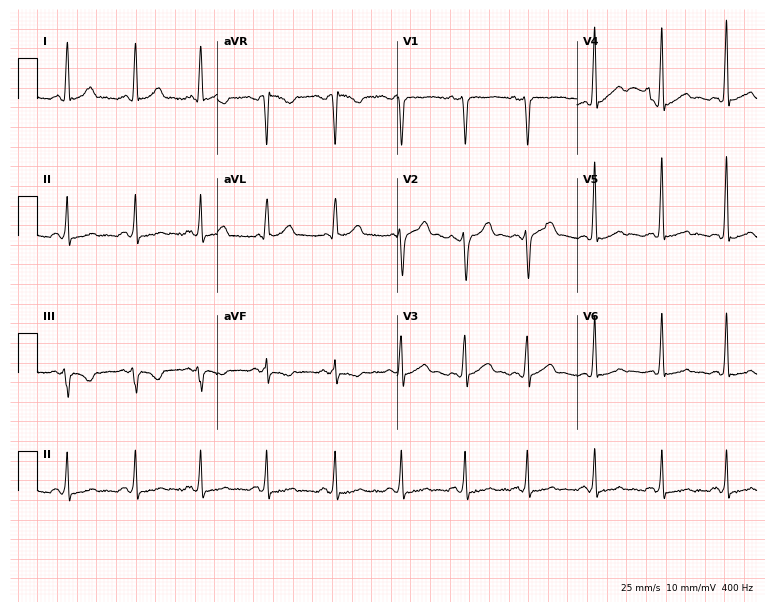
ECG (7.3-second recording at 400 Hz) — a 43-year-old male patient. Screened for six findings — first-degree AV block, right bundle branch block, left bundle branch block, sinus bradycardia, atrial fibrillation, sinus tachycardia — none is recorded. Other findings, if any, are not listed.